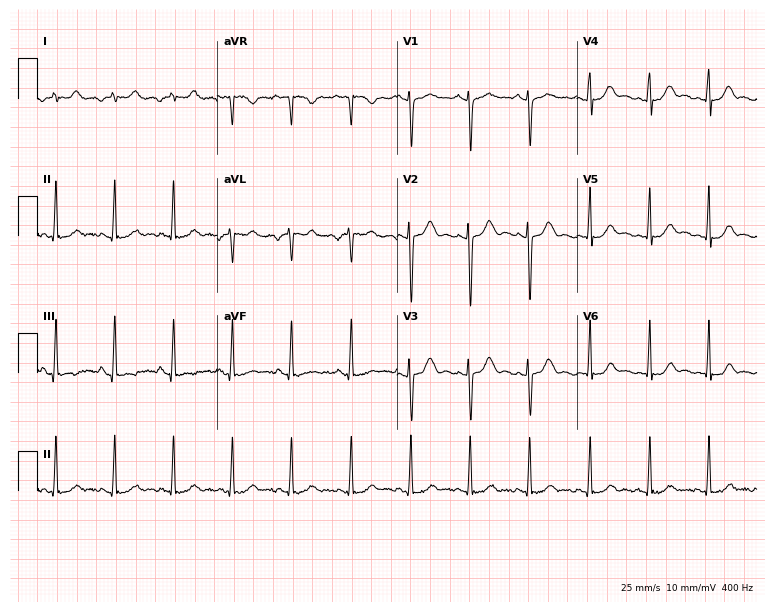
Standard 12-lead ECG recorded from a female, 18 years old. None of these six findings is recorded: first-degree AV block, right bundle branch block (RBBB), left bundle branch block (LBBB), sinus bradycardia, atrial fibrillation (AF), sinus tachycardia.